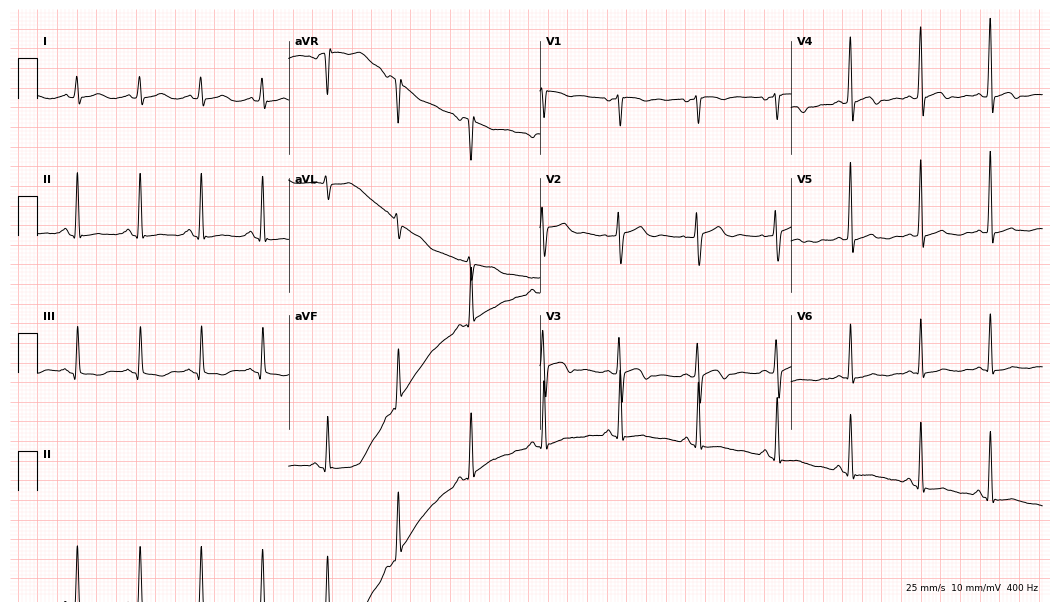
Resting 12-lead electrocardiogram (10.2-second recording at 400 Hz). Patient: a 44-year-old woman. None of these six findings is recorded: first-degree AV block, right bundle branch block (RBBB), left bundle branch block (LBBB), sinus bradycardia, atrial fibrillation (AF), sinus tachycardia. Findings outside these six are not listed.